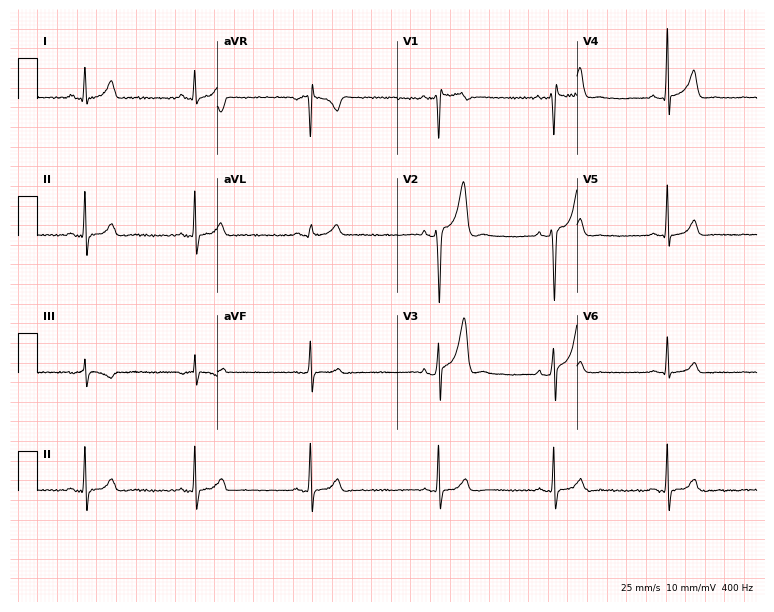
Resting 12-lead electrocardiogram. Patient: a 20-year-old male. None of these six findings is recorded: first-degree AV block, right bundle branch block, left bundle branch block, sinus bradycardia, atrial fibrillation, sinus tachycardia.